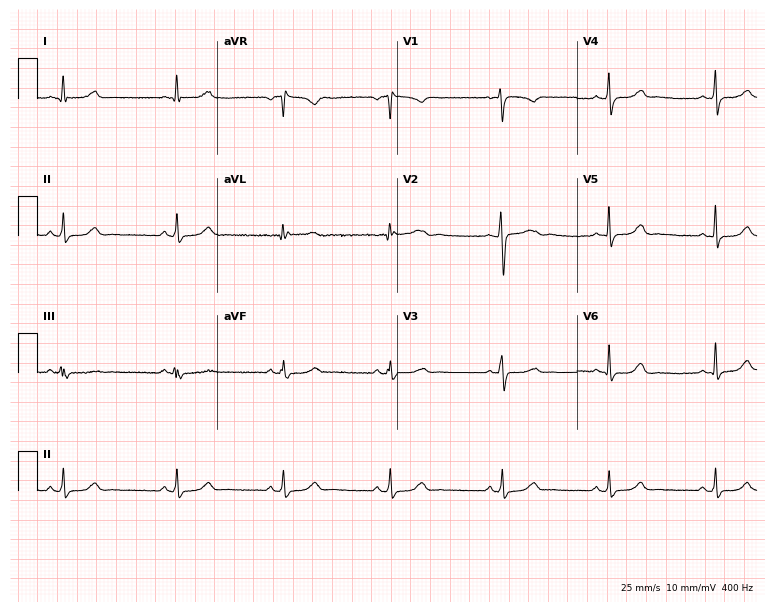
Electrocardiogram (7.3-second recording at 400 Hz), a female, 22 years old. Of the six screened findings (first-degree AV block, right bundle branch block (RBBB), left bundle branch block (LBBB), sinus bradycardia, atrial fibrillation (AF), sinus tachycardia), none is recorded.